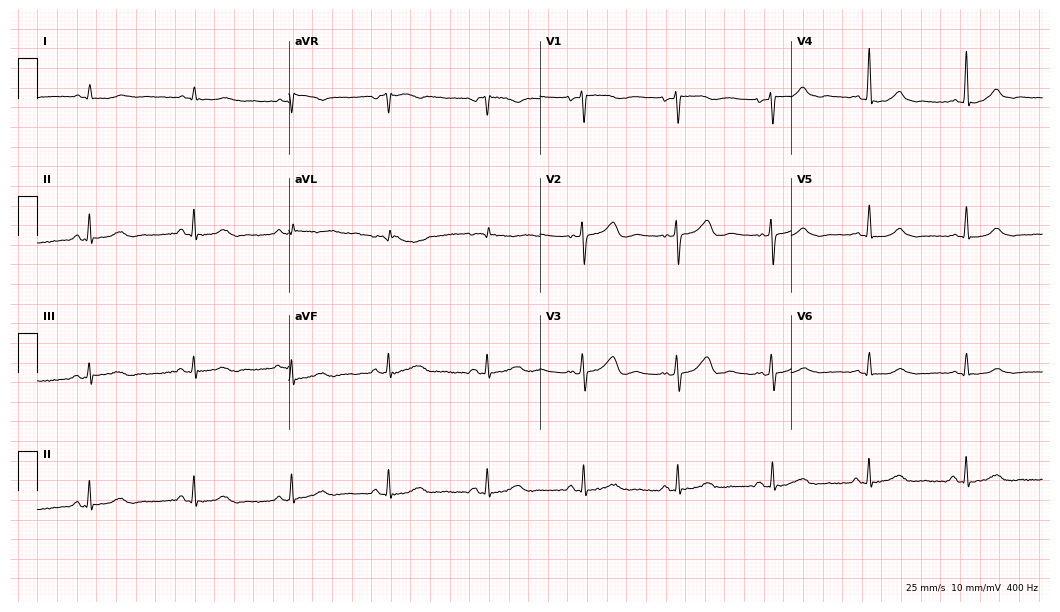
Electrocardiogram, a 46-year-old female patient. Overall reading on record: normal ECG.